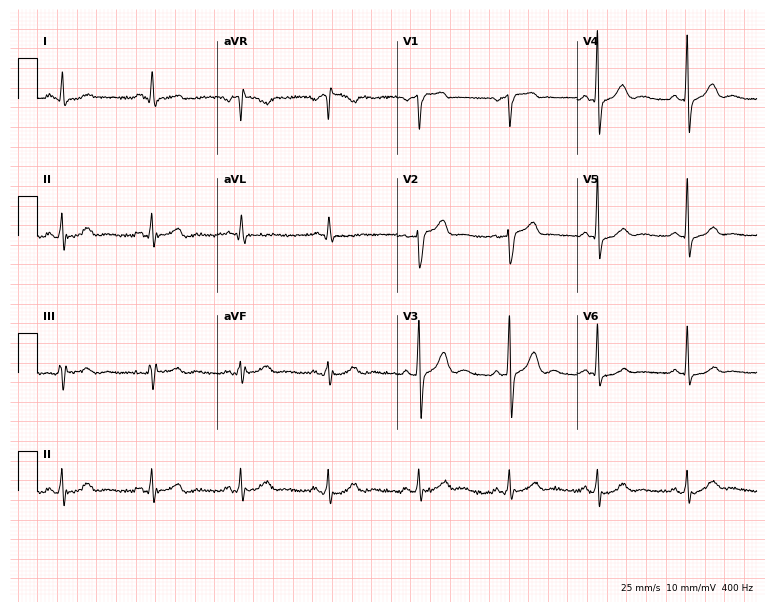
ECG (7.3-second recording at 400 Hz) — a 52-year-old man. Labelled as a normal ECG.